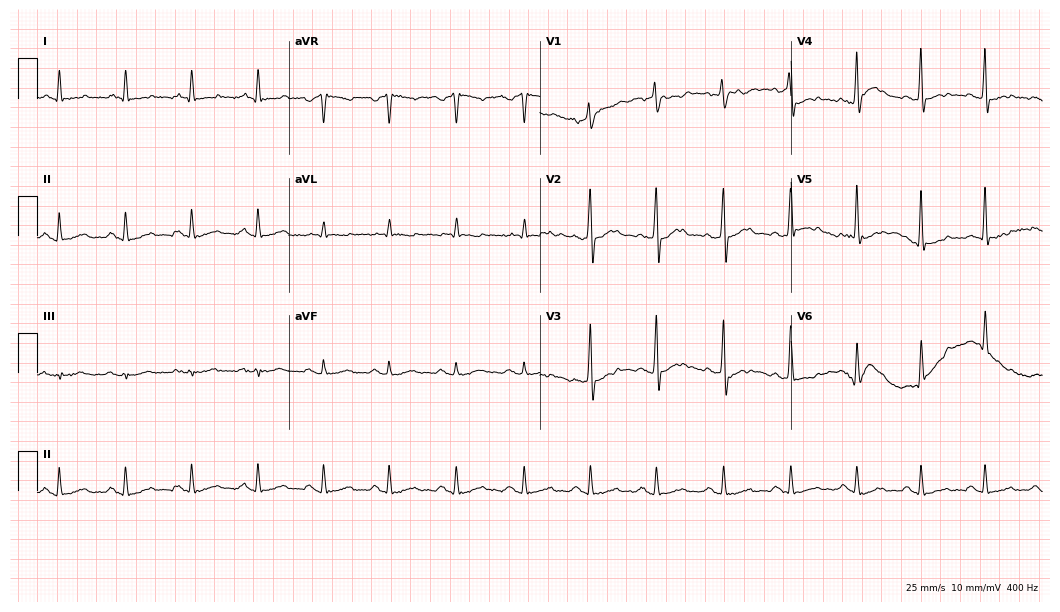
Electrocardiogram (10.2-second recording at 400 Hz), a 55-year-old man. Of the six screened findings (first-degree AV block, right bundle branch block (RBBB), left bundle branch block (LBBB), sinus bradycardia, atrial fibrillation (AF), sinus tachycardia), none is recorded. Findings outside these six are not listed.